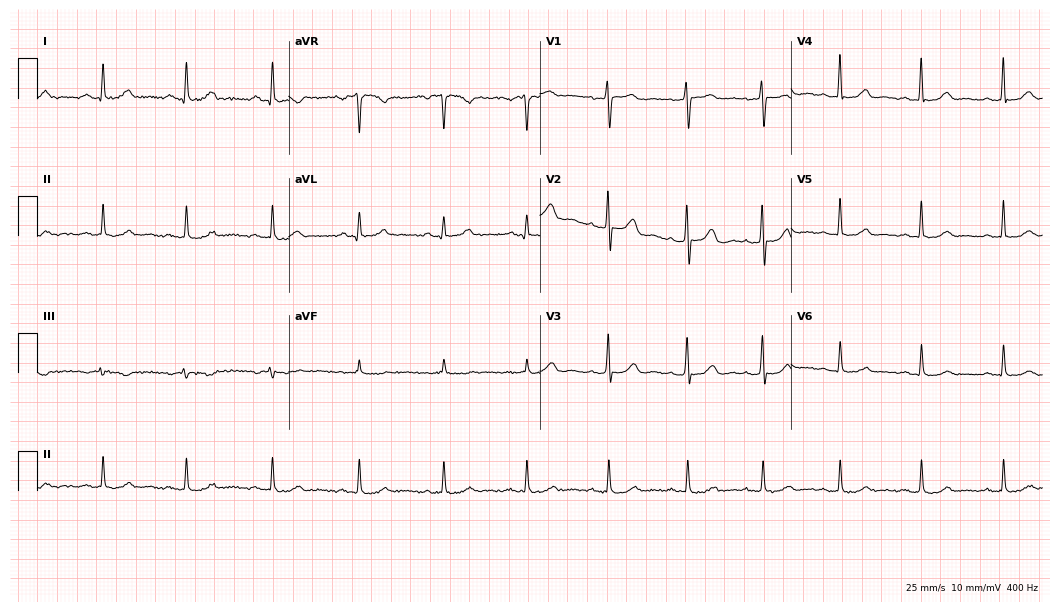
Standard 12-lead ECG recorded from a female, 58 years old (10.2-second recording at 400 Hz). None of these six findings is recorded: first-degree AV block, right bundle branch block, left bundle branch block, sinus bradycardia, atrial fibrillation, sinus tachycardia. Findings outside these six are not listed.